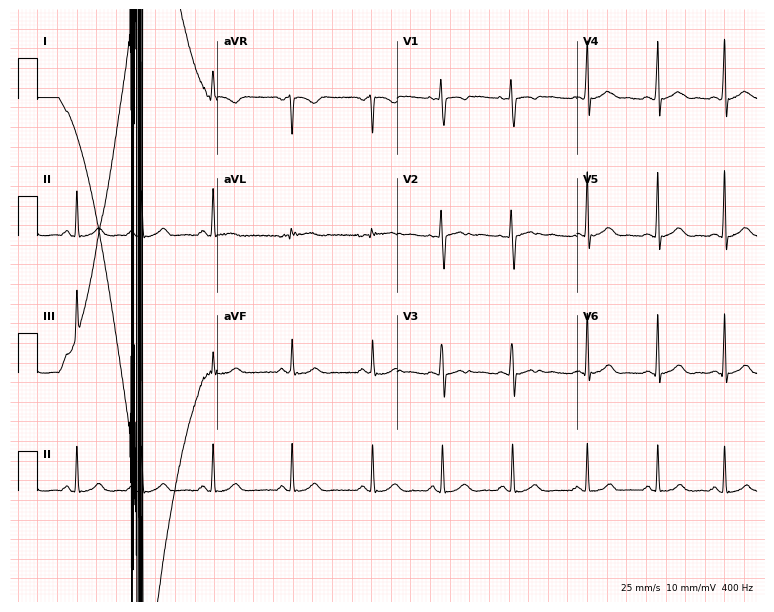
Electrocardiogram, a female patient, 21 years old. Of the six screened findings (first-degree AV block, right bundle branch block (RBBB), left bundle branch block (LBBB), sinus bradycardia, atrial fibrillation (AF), sinus tachycardia), none is recorded.